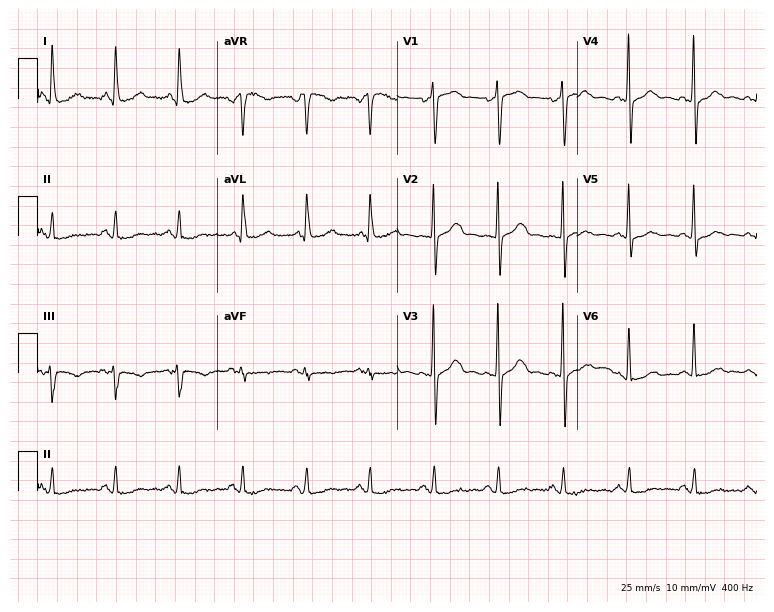
Electrocardiogram (7.3-second recording at 400 Hz), a 71-year-old female. Of the six screened findings (first-degree AV block, right bundle branch block, left bundle branch block, sinus bradycardia, atrial fibrillation, sinus tachycardia), none is recorded.